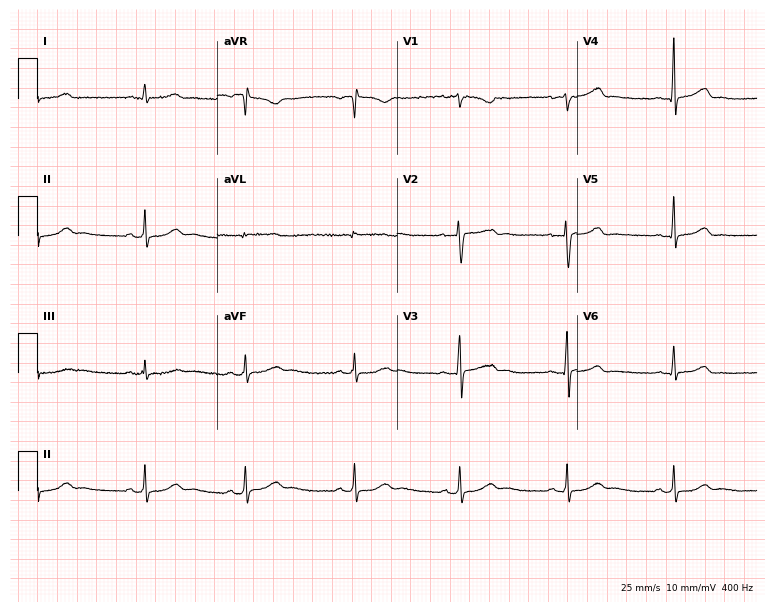
ECG — a female, 22 years old. Labelled as a normal ECG.